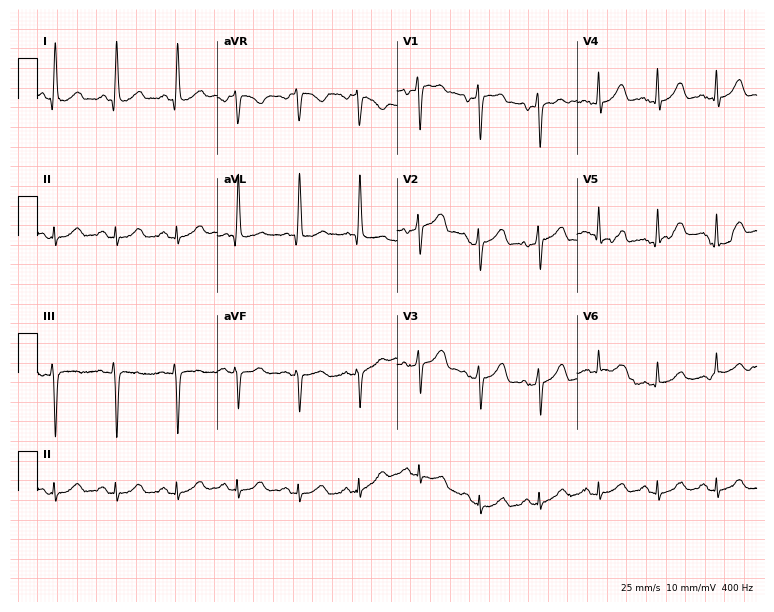
Standard 12-lead ECG recorded from a woman, 66 years old (7.3-second recording at 400 Hz). Read as a normal ECG.